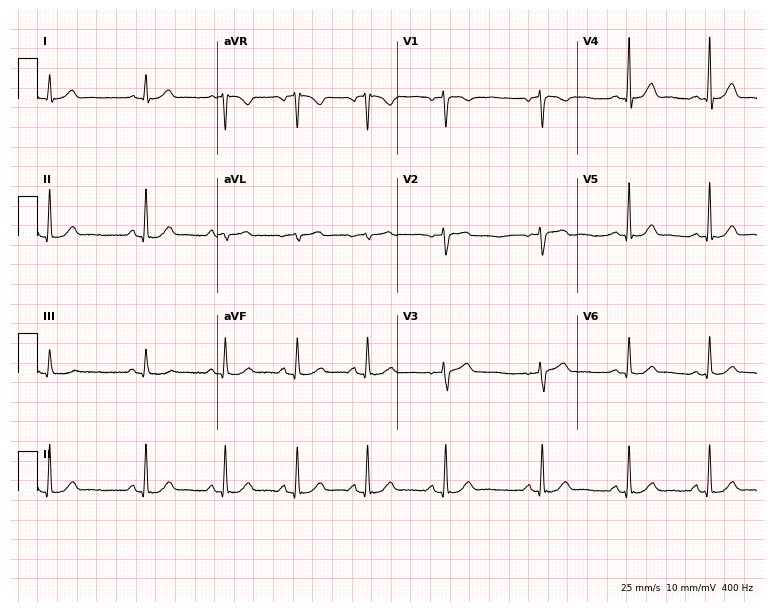
ECG (7.3-second recording at 400 Hz) — a 39-year-old female patient. Labelled as a normal ECG.